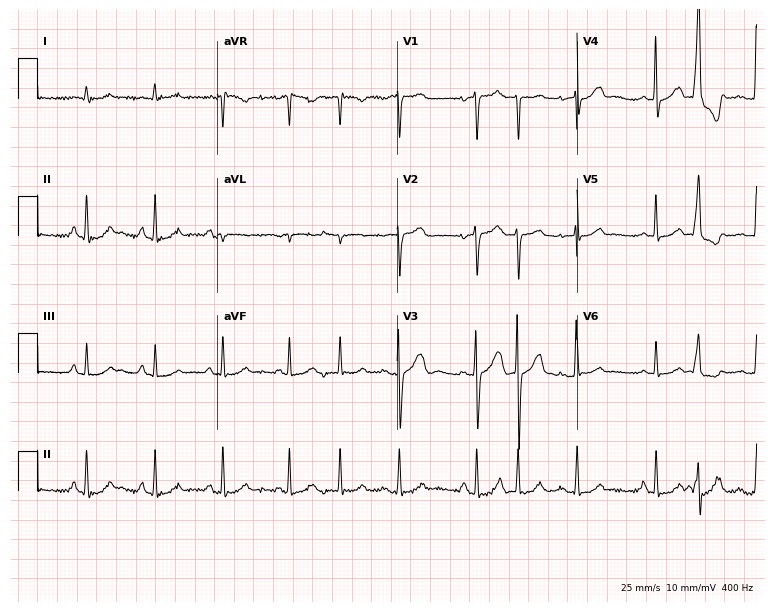
12-lead ECG from a male patient, 78 years old. No first-degree AV block, right bundle branch block, left bundle branch block, sinus bradycardia, atrial fibrillation or sinus tachycardia recorded for this tracing. Only these six findings were labelled.